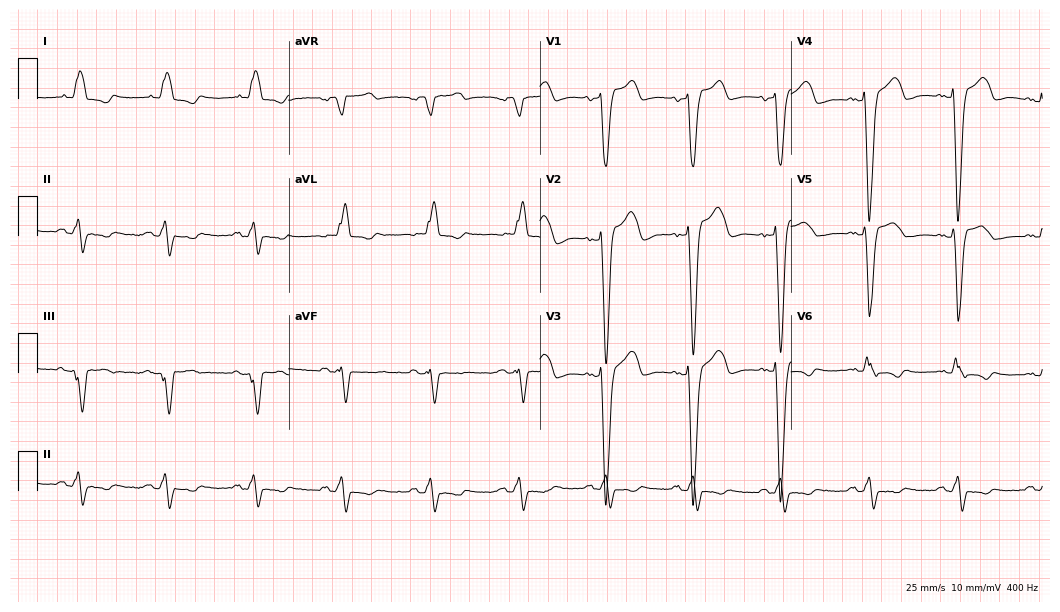
Standard 12-lead ECG recorded from a 17-year-old man (10.2-second recording at 400 Hz). None of these six findings is recorded: first-degree AV block, right bundle branch block, left bundle branch block, sinus bradycardia, atrial fibrillation, sinus tachycardia.